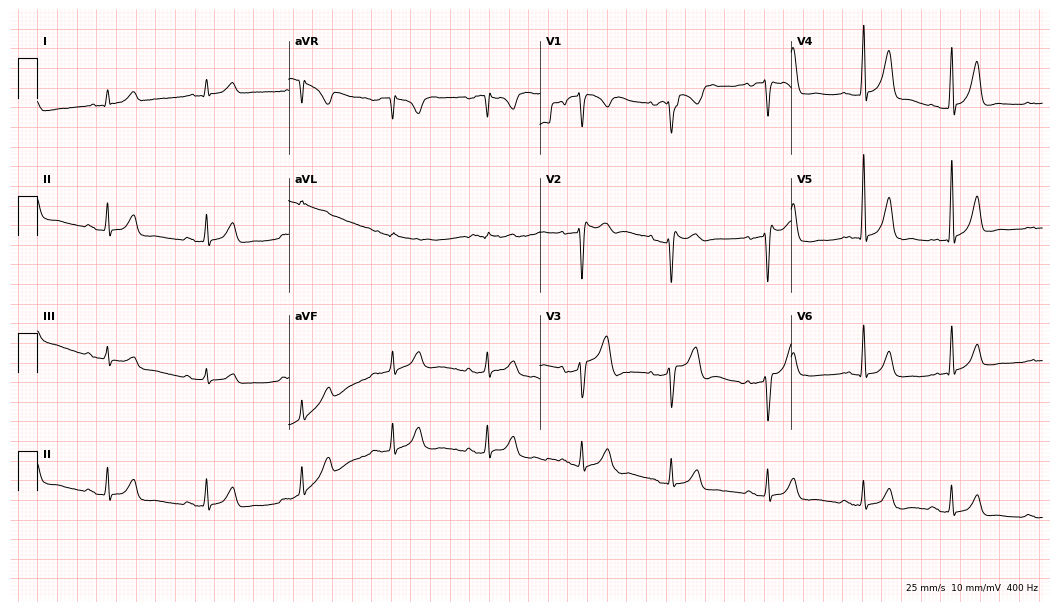
Standard 12-lead ECG recorded from a man, 59 years old (10.2-second recording at 400 Hz). None of these six findings is recorded: first-degree AV block, right bundle branch block, left bundle branch block, sinus bradycardia, atrial fibrillation, sinus tachycardia. Only these six findings were labelled.